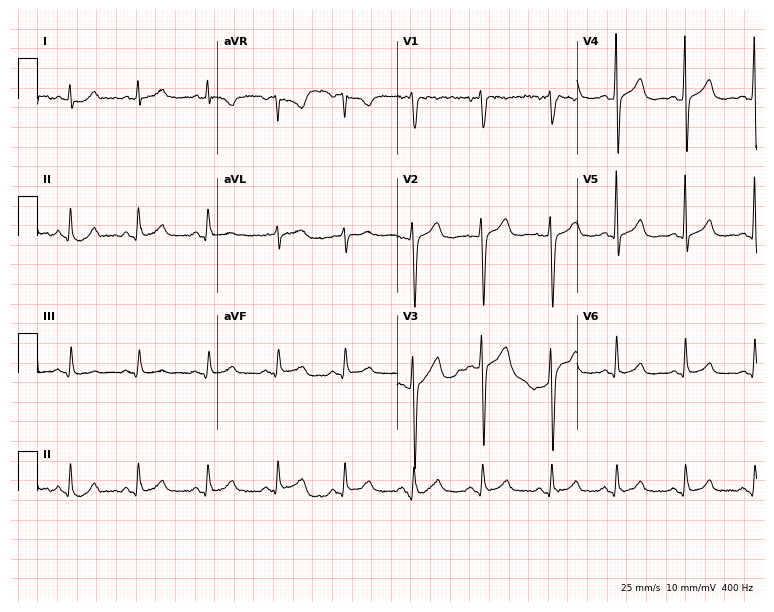
12-lead ECG (7.3-second recording at 400 Hz) from a 52-year-old male. Screened for six findings — first-degree AV block, right bundle branch block (RBBB), left bundle branch block (LBBB), sinus bradycardia, atrial fibrillation (AF), sinus tachycardia — none is recorded. Only these six findings were labelled.